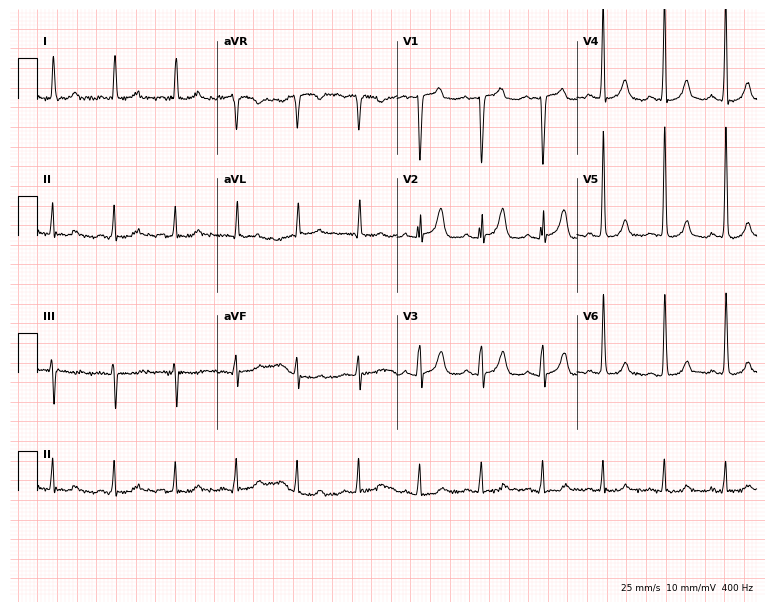
Electrocardiogram (7.3-second recording at 400 Hz), a female, 86 years old. Overall reading on record: normal ECG.